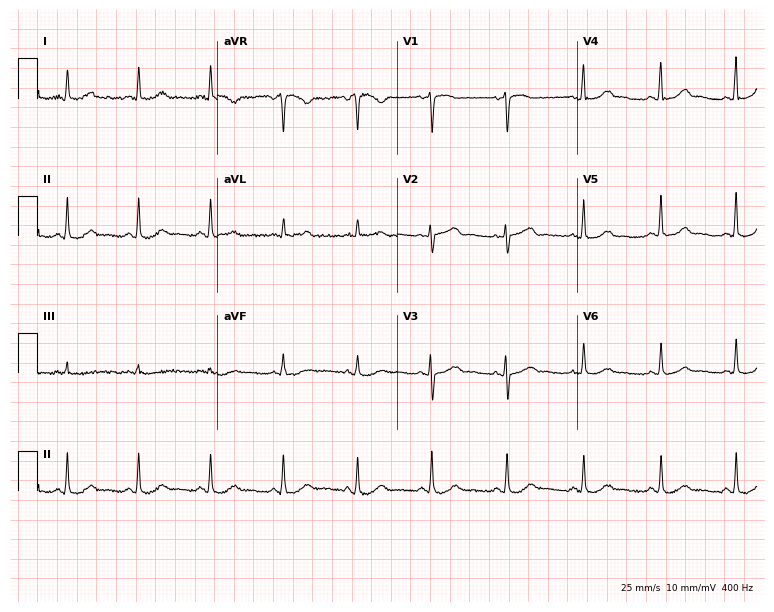
12-lead ECG from a 49-year-old female patient (7.3-second recording at 400 Hz). Recorded interpretation: within normal limits.